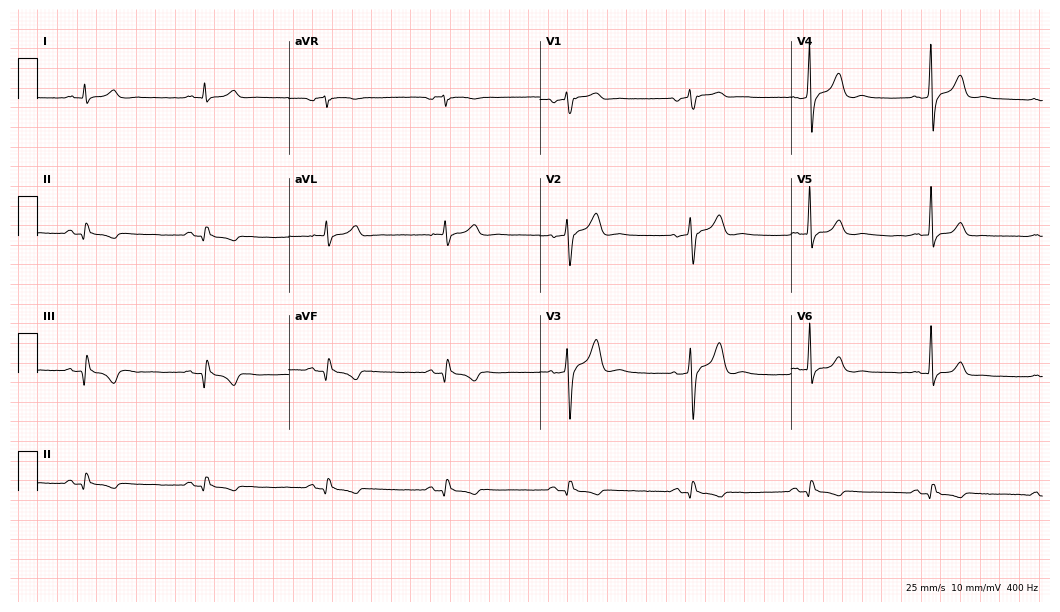
12-lead ECG from a 74-year-old male. No first-degree AV block, right bundle branch block, left bundle branch block, sinus bradycardia, atrial fibrillation or sinus tachycardia recorded for this tracing. Only these six findings were labelled.